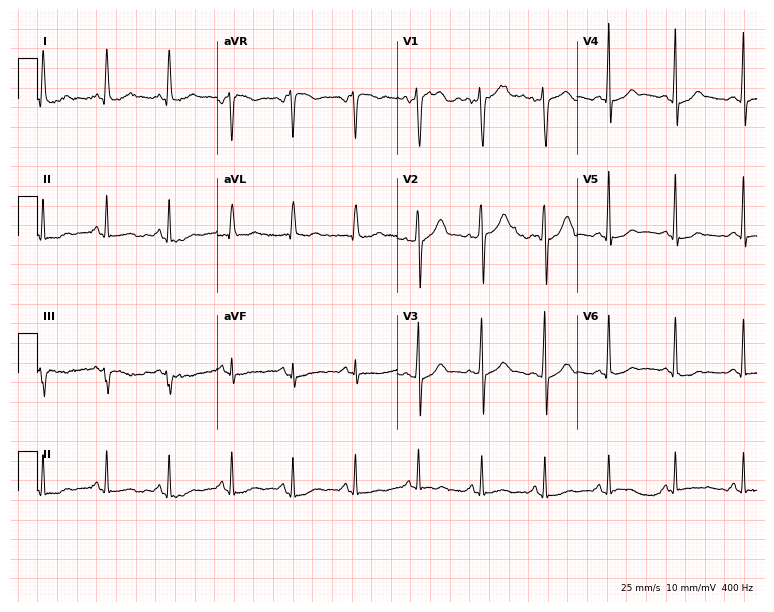
12-lead ECG (7.3-second recording at 400 Hz) from a male patient, 52 years old. Labelled as a normal ECG.